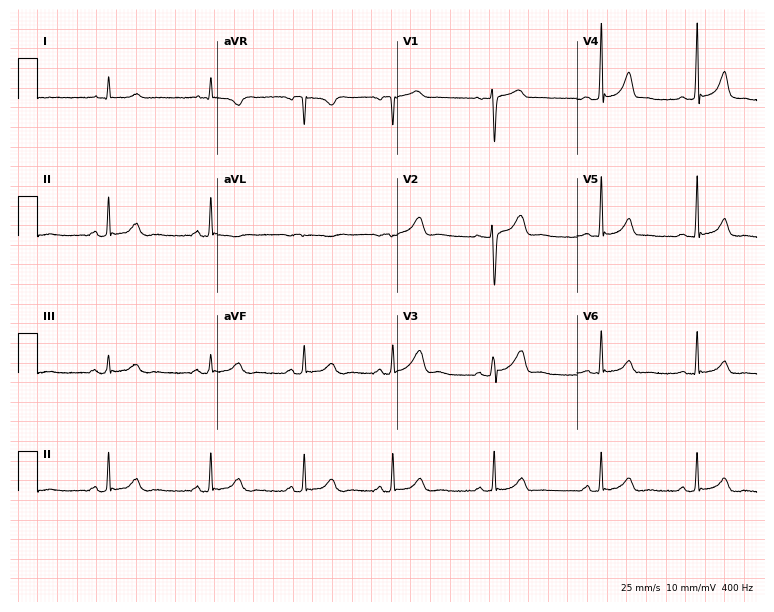
12-lead ECG from a 27-year-old female. Recorded interpretation: within normal limits.